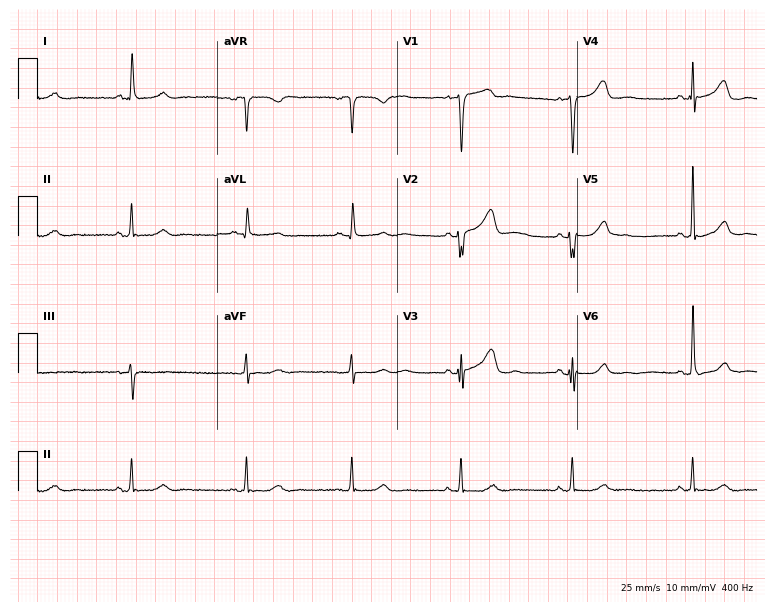
Resting 12-lead electrocardiogram. Patient: a 69-year-old female. None of these six findings is recorded: first-degree AV block, right bundle branch block (RBBB), left bundle branch block (LBBB), sinus bradycardia, atrial fibrillation (AF), sinus tachycardia.